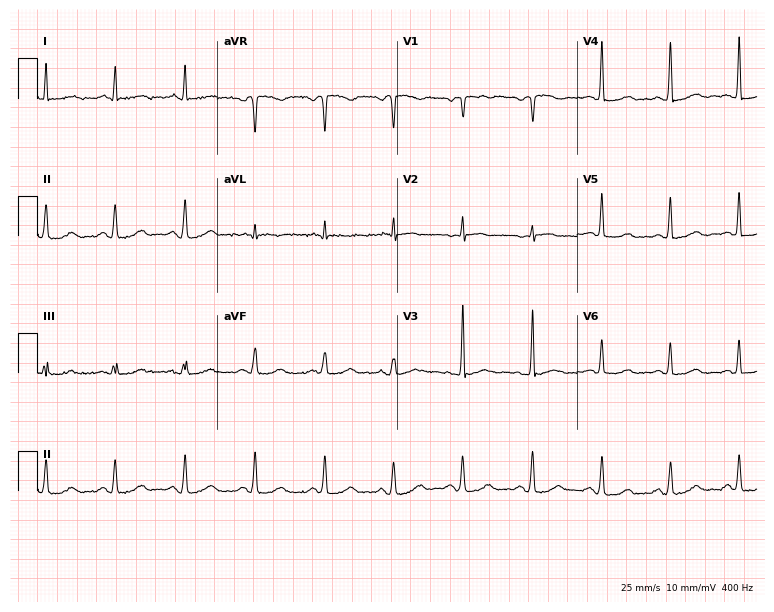
ECG (7.3-second recording at 400 Hz) — a female, 67 years old. Screened for six findings — first-degree AV block, right bundle branch block, left bundle branch block, sinus bradycardia, atrial fibrillation, sinus tachycardia — none is recorded.